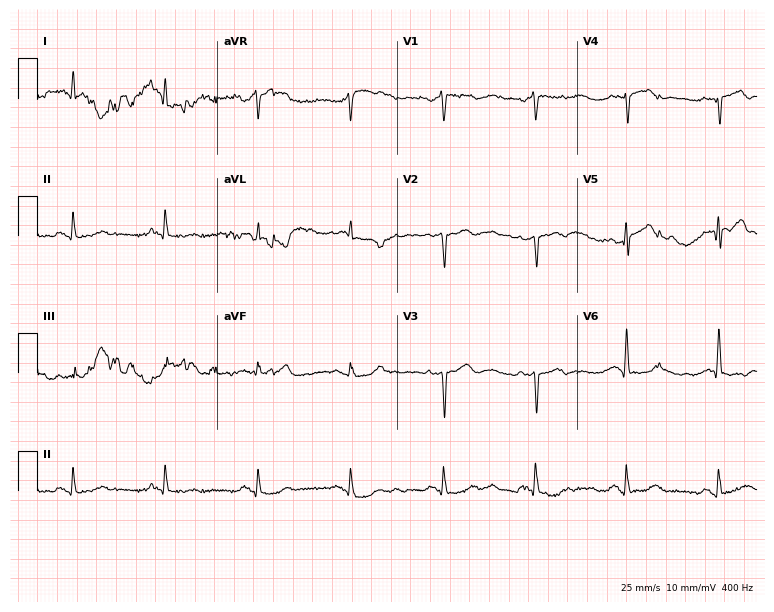
Resting 12-lead electrocardiogram. Patient: a male, 76 years old. None of these six findings is recorded: first-degree AV block, right bundle branch block, left bundle branch block, sinus bradycardia, atrial fibrillation, sinus tachycardia. Findings outside these six are not listed.